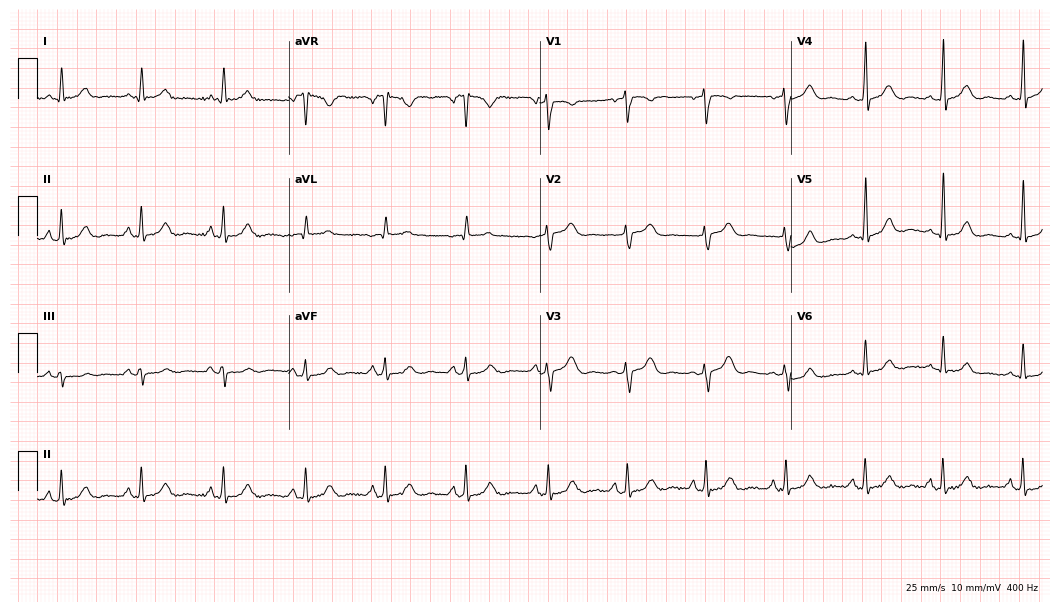
Standard 12-lead ECG recorded from a woman, 52 years old (10.2-second recording at 400 Hz). Read as a normal ECG.